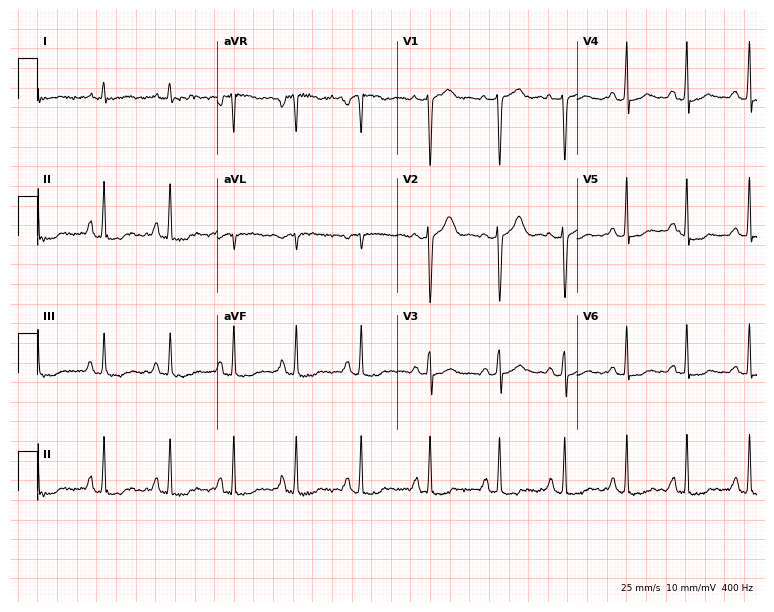
12-lead ECG (7.3-second recording at 400 Hz) from a 29-year-old female. Screened for six findings — first-degree AV block, right bundle branch block, left bundle branch block, sinus bradycardia, atrial fibrillation, sinus tachycardia — none is recorded. Findings outside these six are not listed.